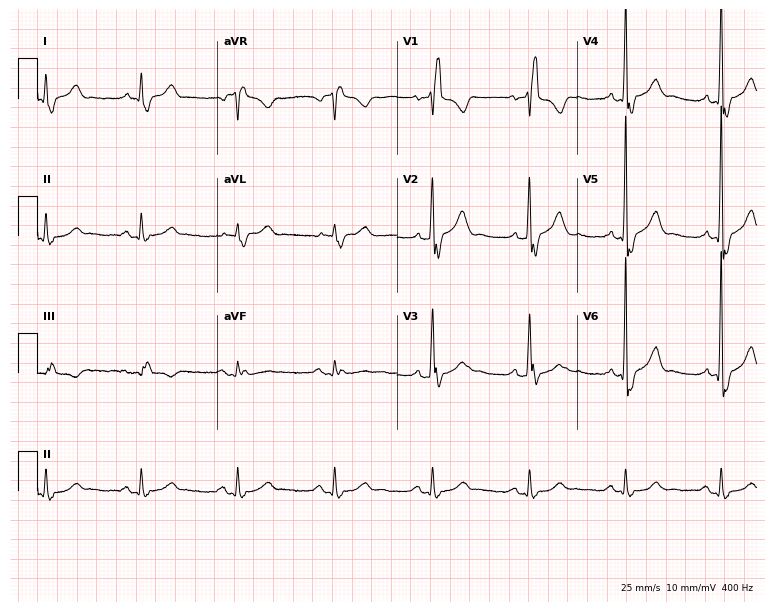
12-lead ECG from a 69-year-old man. Shows right bundle branch block.